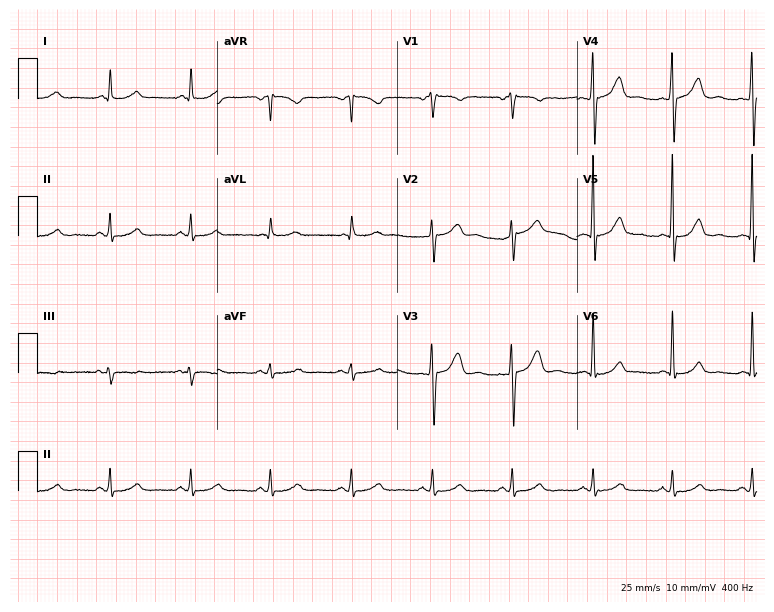
12-lead ECG (7.3-second recording at 400 Hz) from a man, 58 years old. Labelled as a normal ECG.